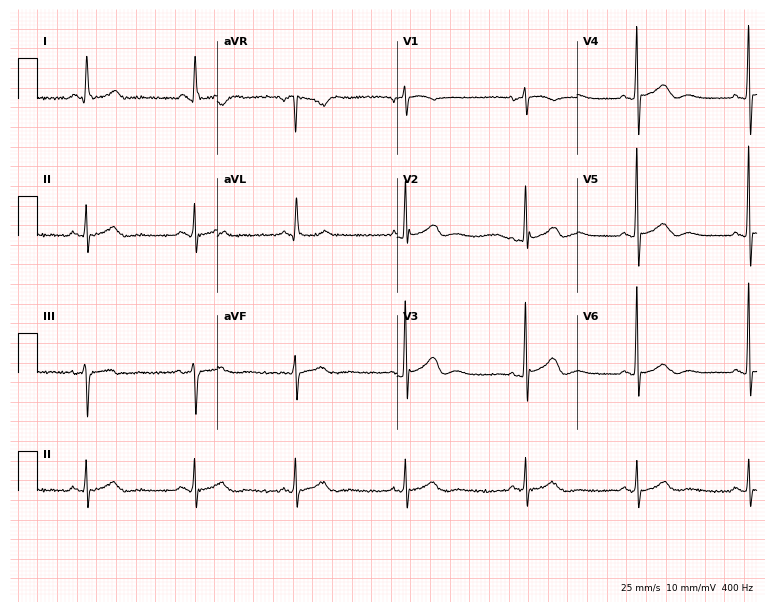
12-lead ECG (7.3-second recording at 400 Hz) from a female, 85 years old. Screened for six findings — first-degree AV block, right bundle branch block, left bundle branch block, sinus bradycardia, atrial fibrillation, sinus tachycardia — none is recorded. Other findings, if any, are not listed.